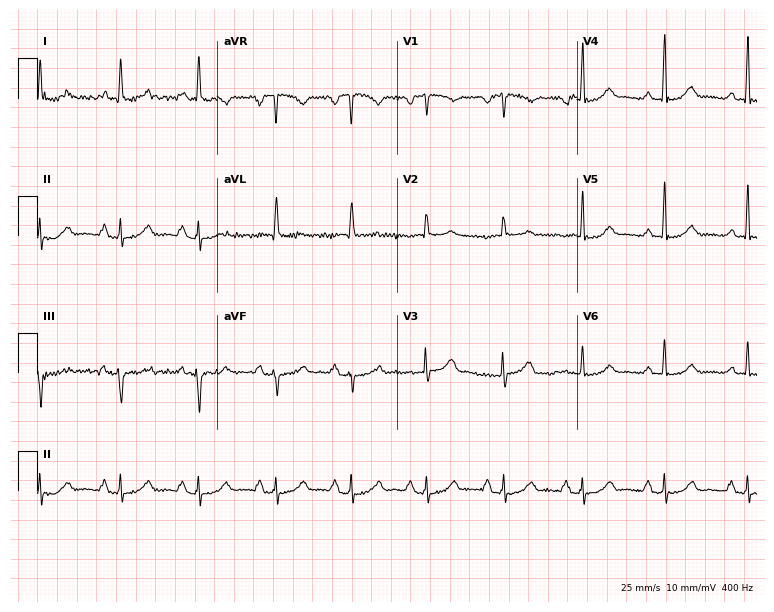
ECG — a 66-year-old male. Labelled as a normal ECG.